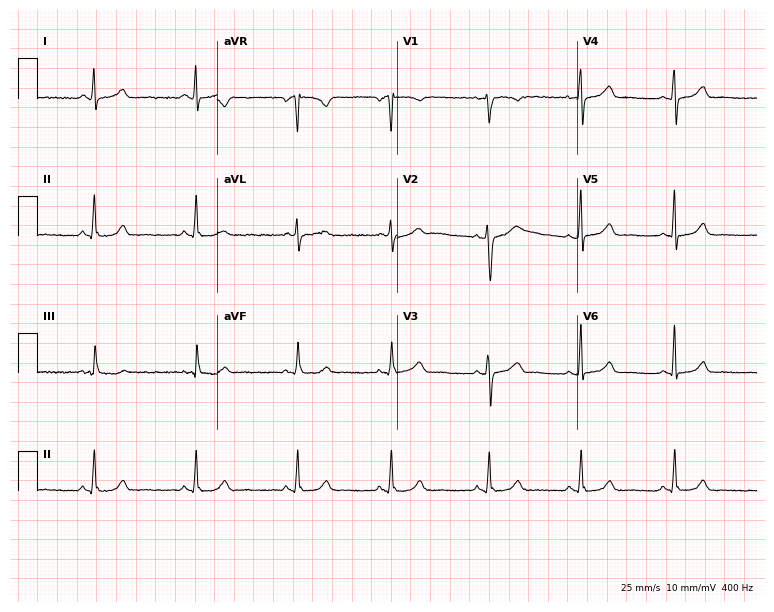
12-lead ECG from a female, 33 years old. Screened for six findings — first-degree AV block, right bundle branch block, left bundle branch block, sinus bradycardia, atrial fibrillation, sinus tachycardia — none is recorded. Only these six findings were labelled.